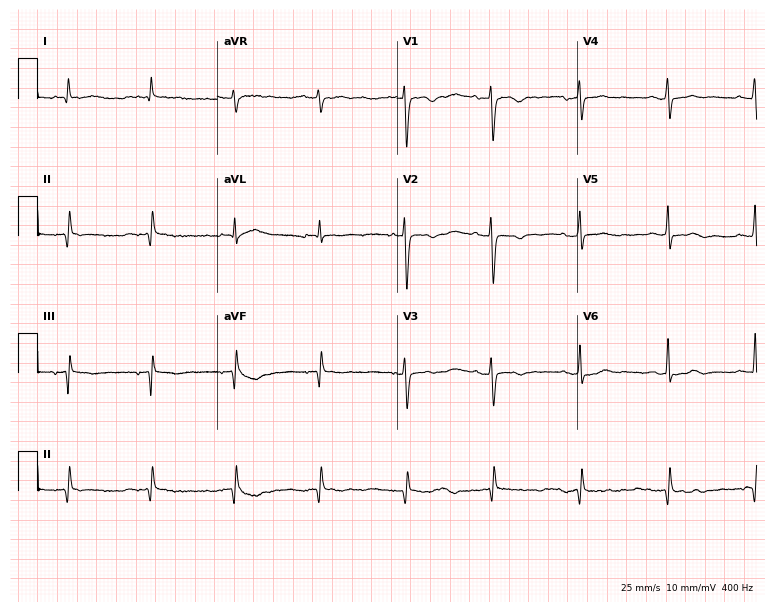
Electrocardiogram, a 56-year-old female patient. Of the six screened findings (first-degree AV block, right bundle branch block, left bundle branch block, sinus bradycardia, atrial fibrillation, sinus tachycardia), none is recorded. Findings outside these six are not listed.